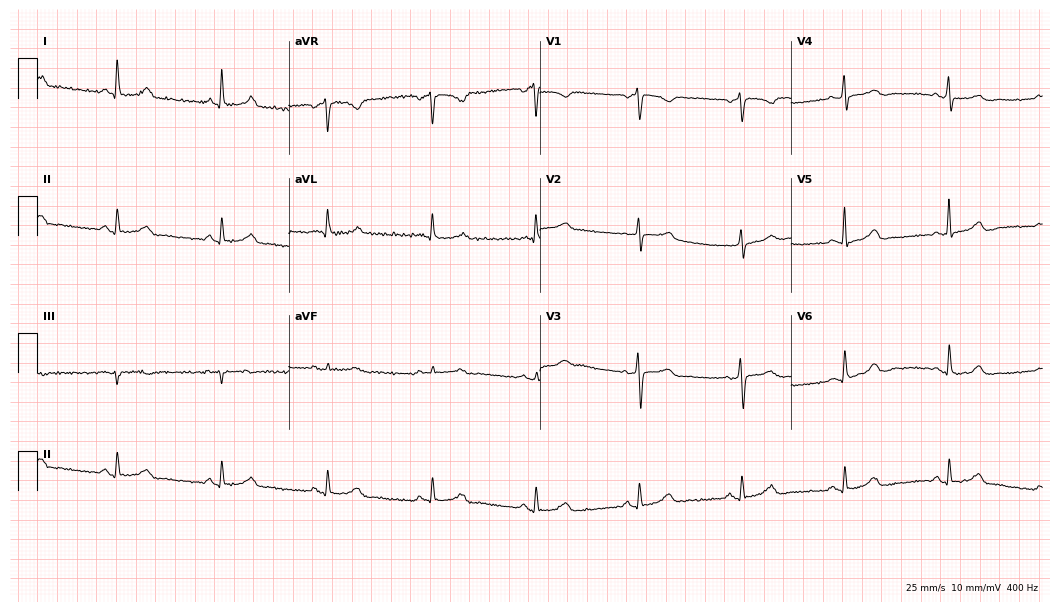
12-lead ECG from a woman, 74 years old. Labelled as a normal ECG.